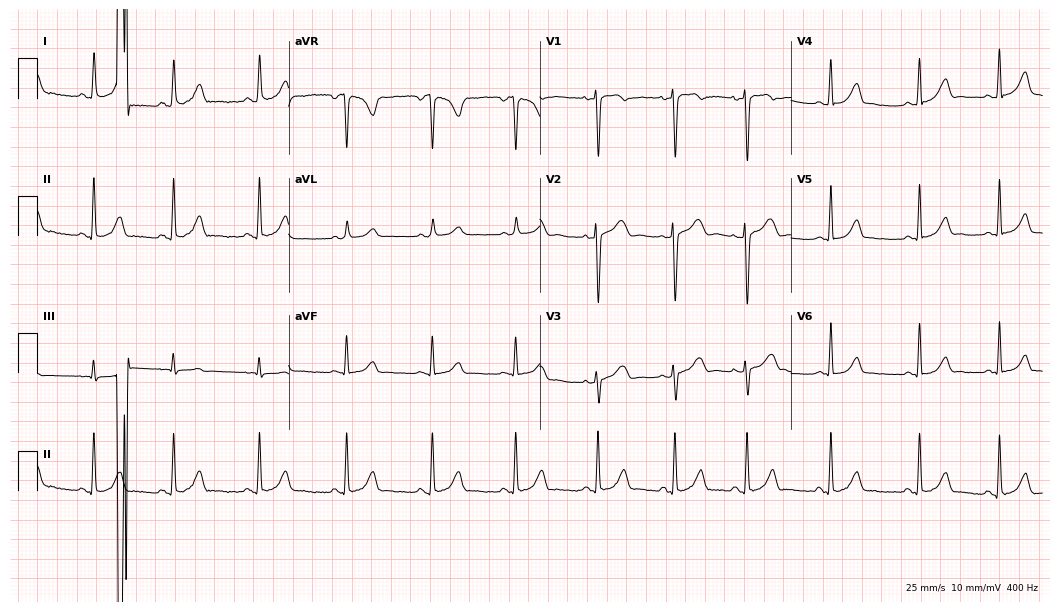
Electrocardiogram, a 24-year-old female patient. Overall reading on record: normal ECG.